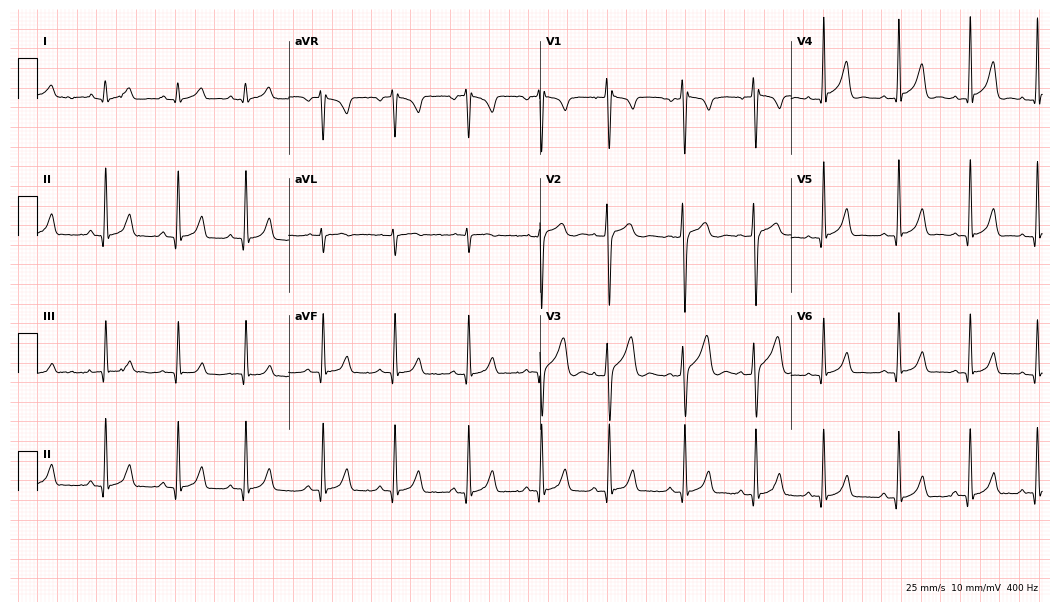
12-lead ECG (10.2-second recording at 400 Hz) from a 22-year-old man. Labelled as a normal ECG.